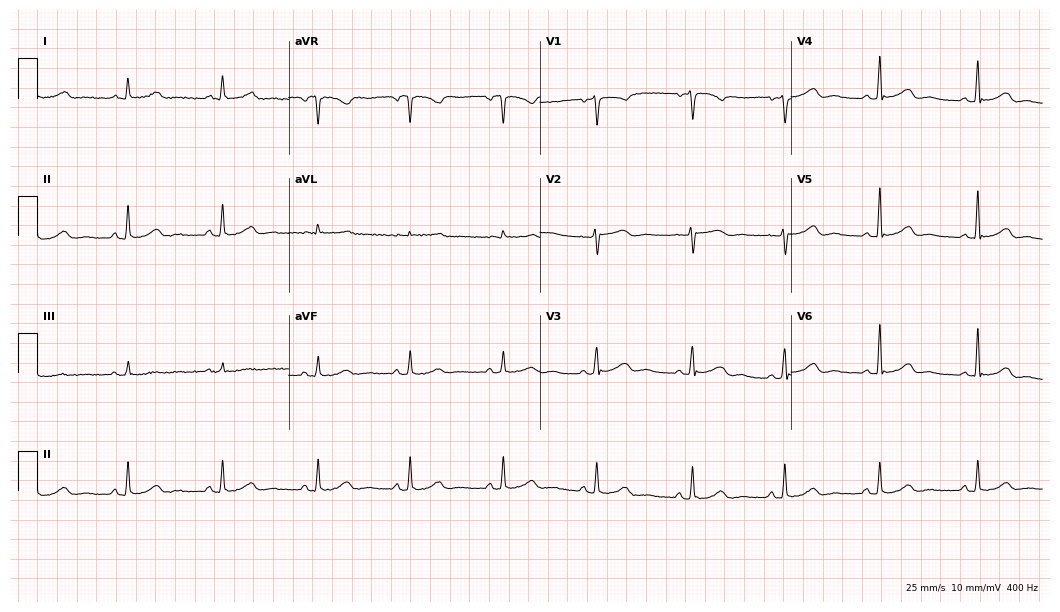
Electrocardiogram (10.2-second recording at 400 Hz), a 61-year-old woman. Overall reading on record: normal ECG.